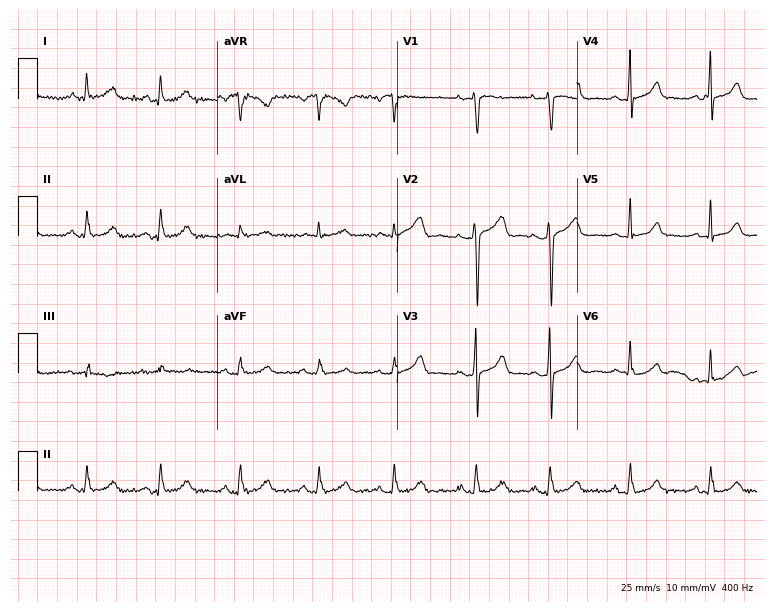
12-lead ECG from a woman, 28 years old. Labelled as a normal ECG.